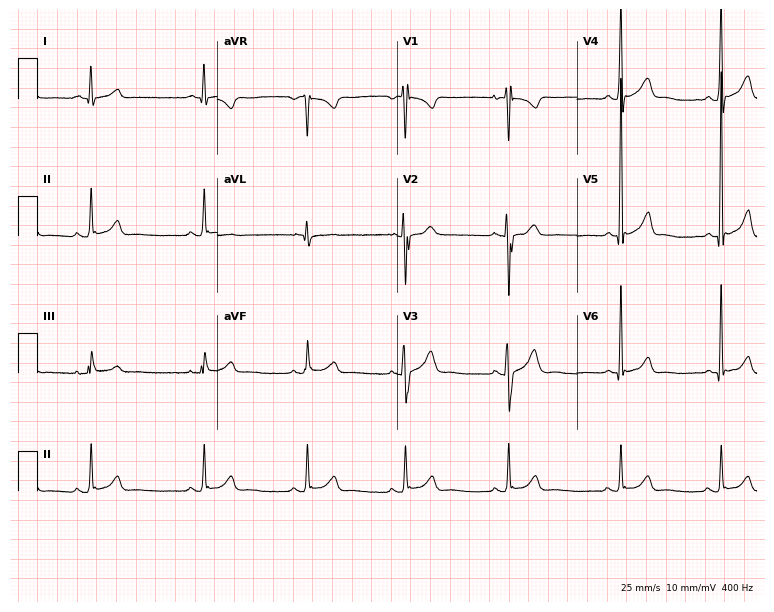
ECG (7.3-second recording at 400 Hz) — a male, 19 years old. Labelled as a normal ECG.